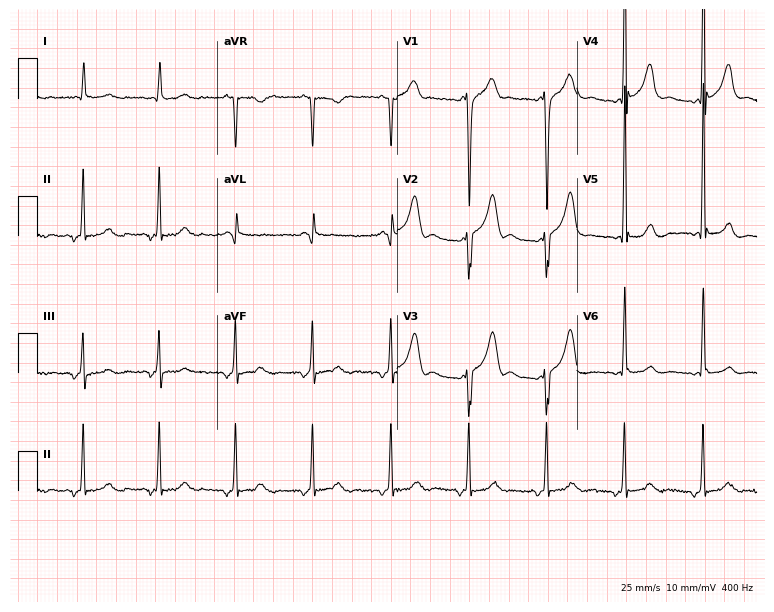
12-lead ECG from a male, 55 years old. Screened for six findings — first-degree AV block, right bundle branch block, left bundle branch block, sinus bradycardia, atrial fibrillation, sinus tachycardia — none is recorded. Only these six findings were labelled.